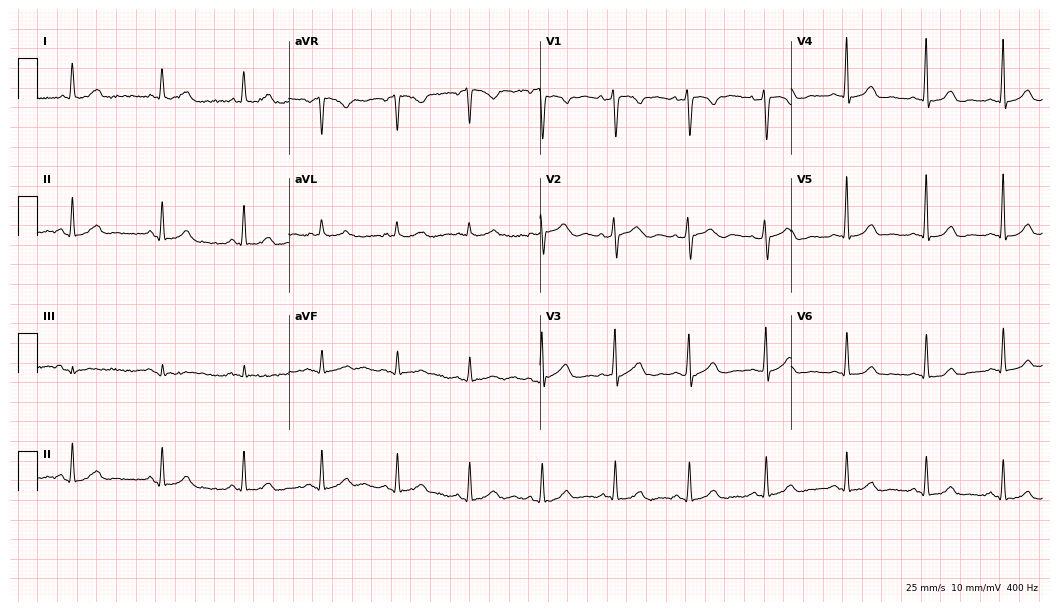
Standard 12-lead ECG recorded from a woman, 46 years old (10.2-second recording at 400 Hz). None of these six findings is recorded: first-degree AV block, right bundle branch block, left bundle branch block, sinus bradycardia, atrial fibrillation, sinus tachycardia. Other findings, if any, are not listed.